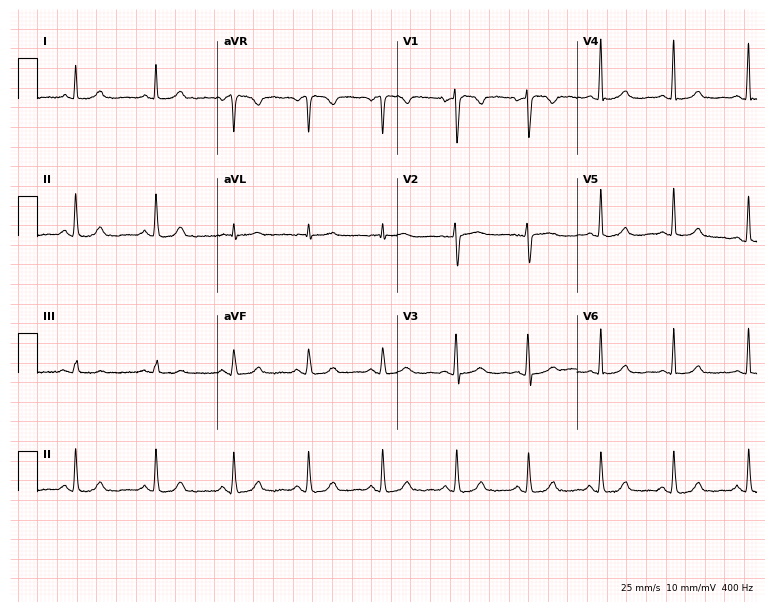
ECG (7.3-second recording at 400 Hz) — a 52-year-old woman. Screened for six findings — first-degree AV block, right bundle branch block, left bundle branch block, sinus bradycardia, atrial fibrillation, sinus tachycardia — none is recorded.